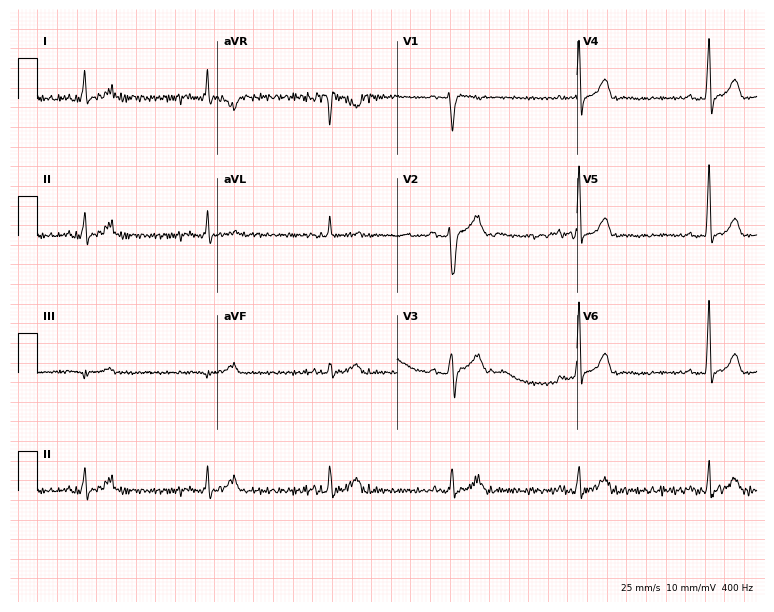
12-lead ECG from a male patient, 44 years old. Screened for six findings — first-degree AV block, right bundle branch block, left bundle branch block, sinus bradycardia, atrial fibrillation, sinus tachycardia — none is recorded.